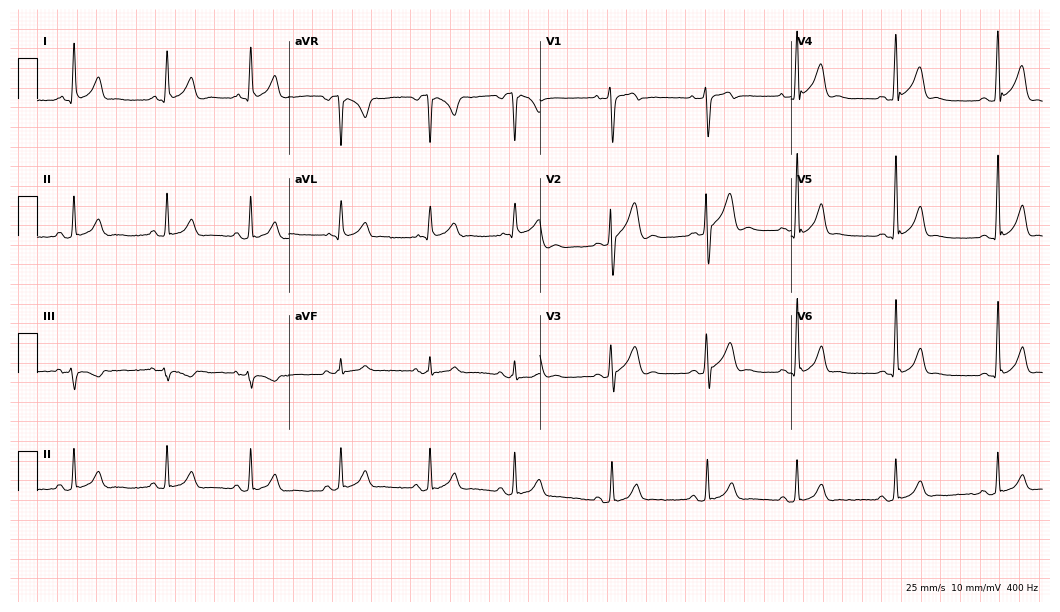
ECG — a 32-year-old male patient. Screened for six findings — first-degree AV block, right bundle branch block, left bundle branch block, sinus bradycardia, atrial fibrillation, sinus tachycardia — none is recorded. Findings outside these six are not listed.